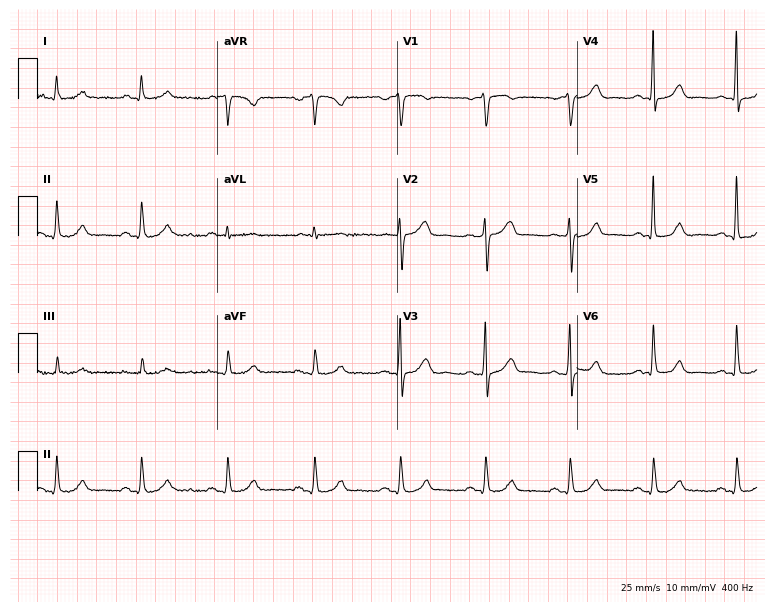
12-lead ECG from a 58-year-old male. No first-degree AV block, right bundle branch block, left bundle branch block, sinus bradycardia, atrial fibrillation or sinus tachycardia recorded for this tracing. Only these six findings were labelled.